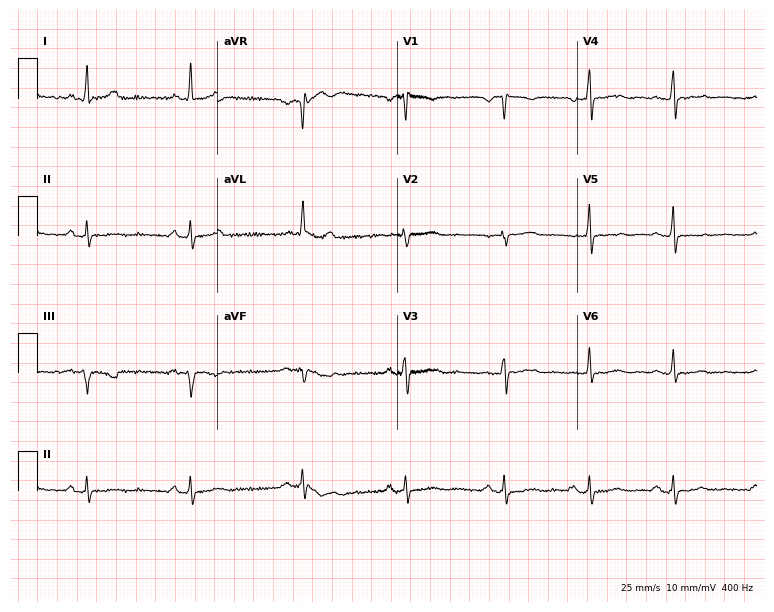
12-lead ECG from a female, 51 years old. No first-degree AV block, right bundle branch block (RBBB), left bundle branch block (LBBB), sinus bradycardia, atrial fibrillation (AF) or sinus tachycardia recorded for this tracing.